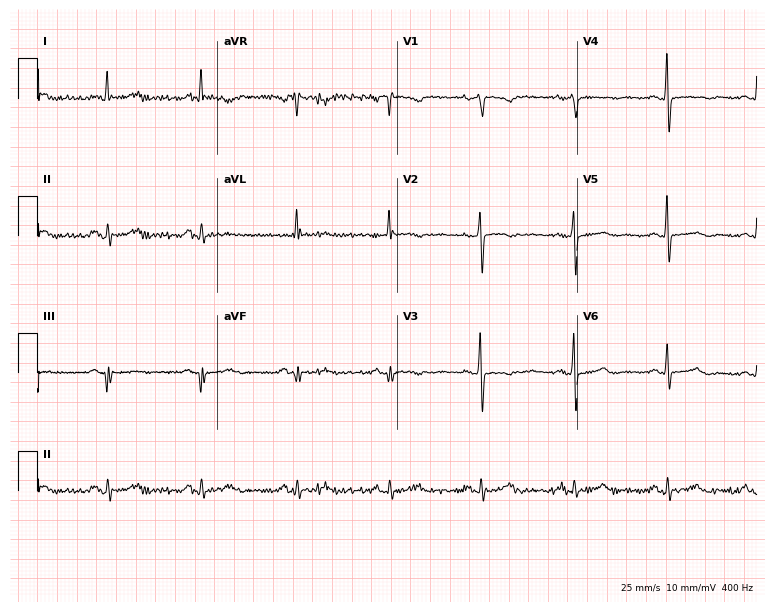
ECG — a female, 59 years old. Labelled as a normal ECG.